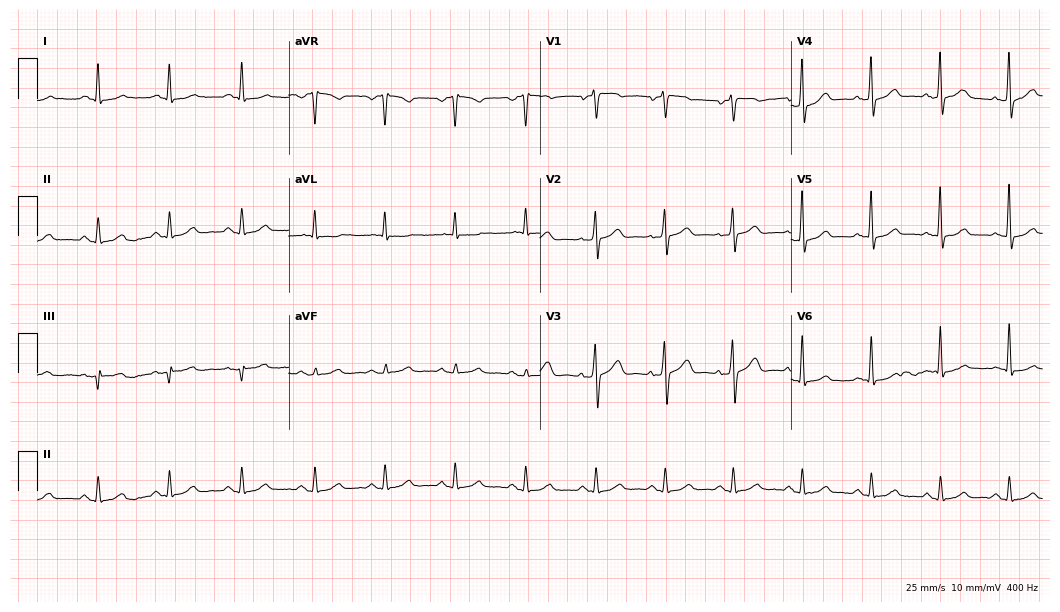
12-lead ECG (10.2-second recording at 400 Hz) from a 78-year-old male. Screened for six findings — first-degree AV block, right bundle branch block, left bundle branch block, sinus bradycardia, atrial fibrillation, sinus tachycardia — none is recorded.